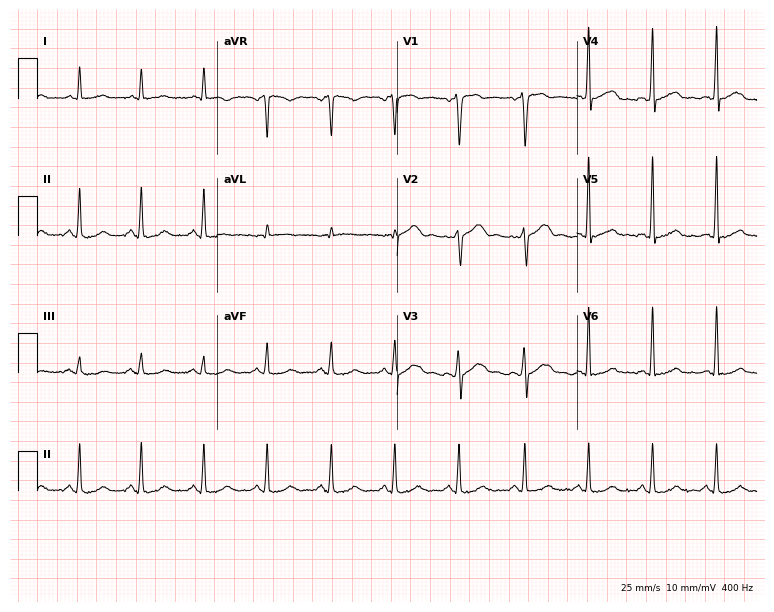
Standard 12-lead ECG recorded from a 55-year-old male. None of these six findings is recorded: first-degree AV block, right bundle branch block, left bundle branch block, sinus bradycardia, atrial fibrillation, sinus tachycardia.